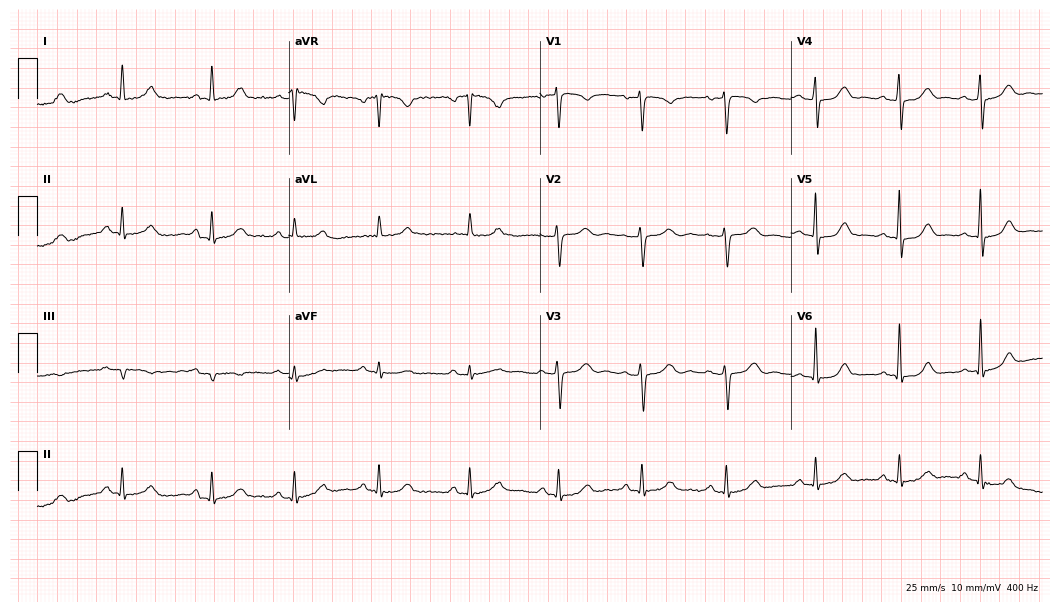
12-lead ECG (10.2-second recording at 400 Hz) from a 50-year-old female patient. Labelled as a normal ECG.